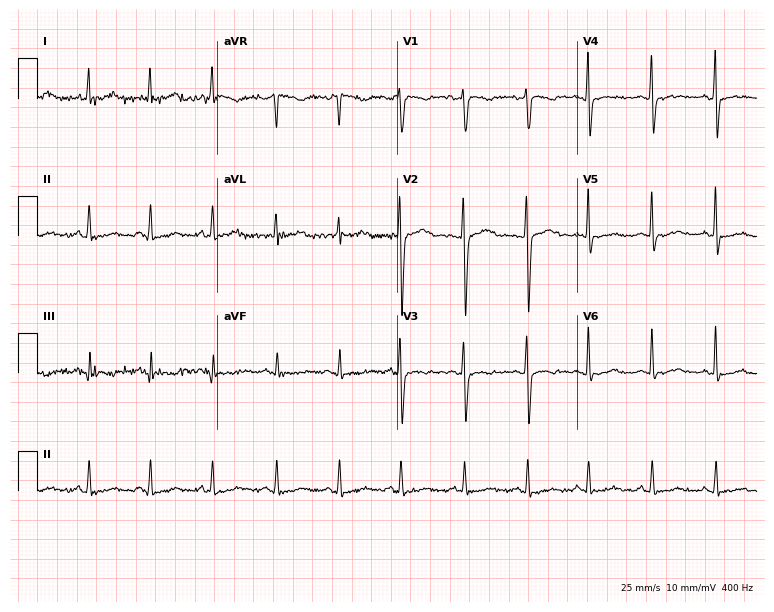
Electrocardiogram (7.3-second recording at 400 Hz), a woman, 24 years old. Of the six screened findings (first-degree AV block, right bundle branch block, left bundle branch block, sinus bradycardia, atrial fibrillation, sinus tachycardia), none is recorded. Other findings, if any, are not listed.